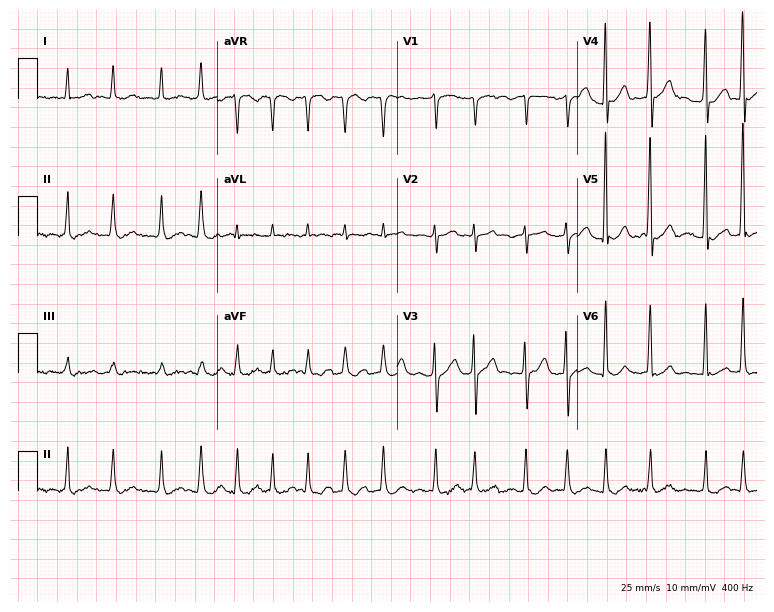
12-lead ECG (7.3-second recording at 400 Hz) from a 61-year-old man. Findings include atrial fibrillation.